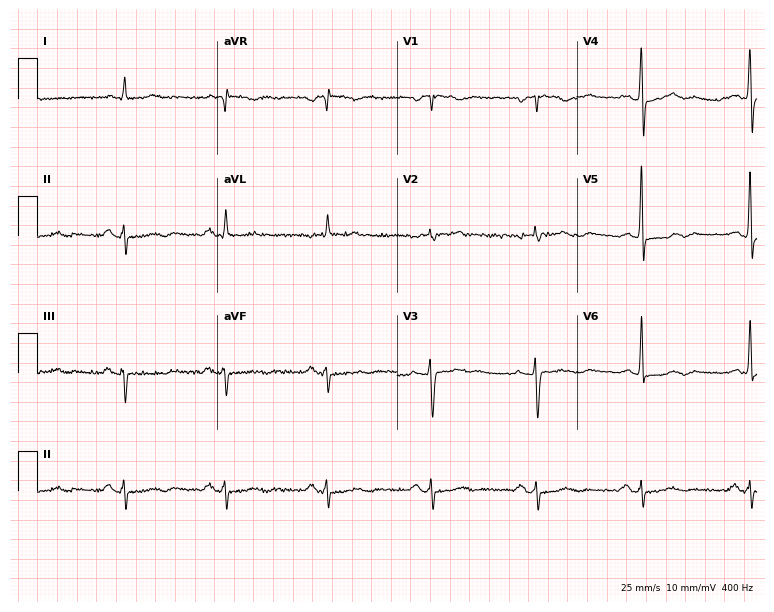
Electrocardiogram, a male patient, 80 years old. Of the six screened findings (first-degree AV block, right bundle branch block (RBBB), left bundle branch block (LBBB), sinus bradycardia, atrial fibrillation (AF), sinus tachycardia), none is recorded. Only these six findings were labelled.